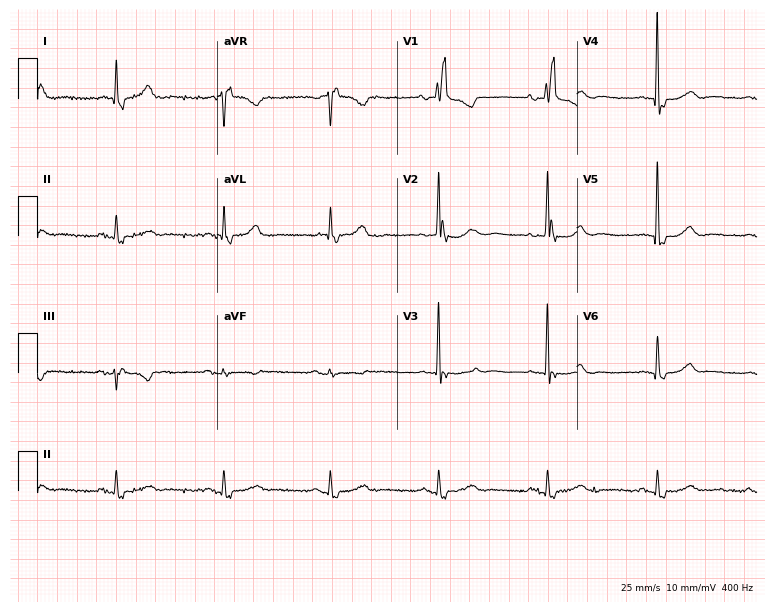
ECG (7.3-second recording at 400 Hz) — a woman, 85 years old. Findings include right bundle branch block (RBBB).